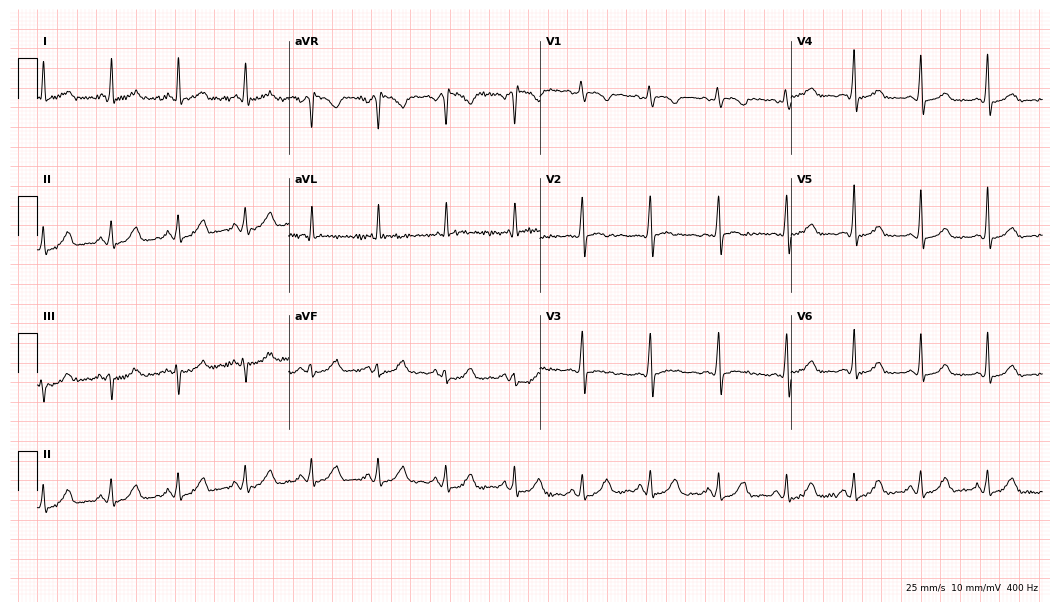
Resting 12-lead electrocardiogram. Patient: a woman, 54 years old. Read as a normal ECG.